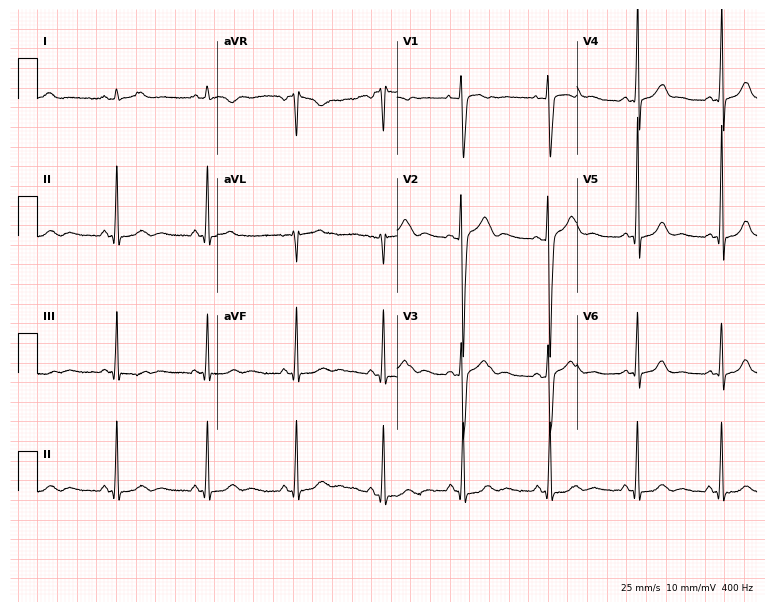
Resting 12-lead electrocardiogram (7.3-second recording at 400 Hz). Patient: a 24-year-old male. None of these six findings is recorded: first-degree AV block, right bundle branch block (RBBB), left bundle branch block (LBBB), sinus bradycardia, atrial fibrillation (AF), sinus tachycardia.